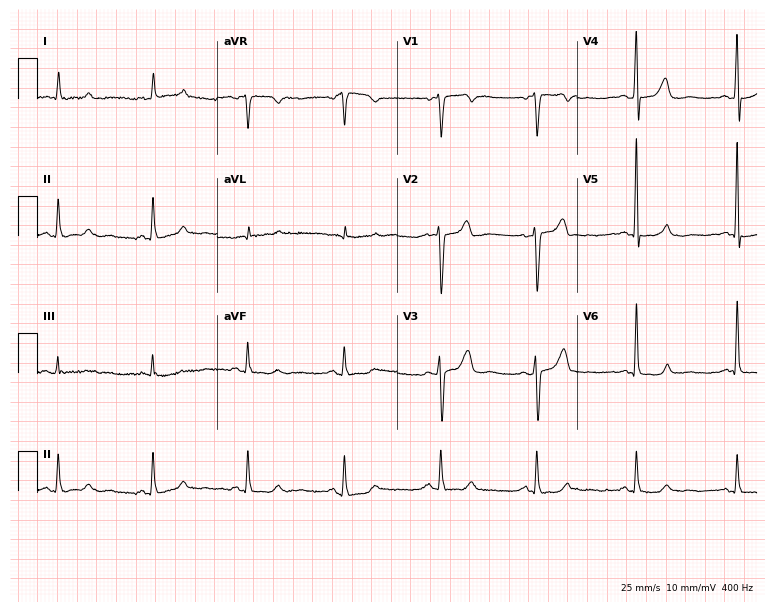
Standard 12-lead ECG recorded from a 56-year-old male (7.3-second recording at 400 Hz). Read as a normal ECG.